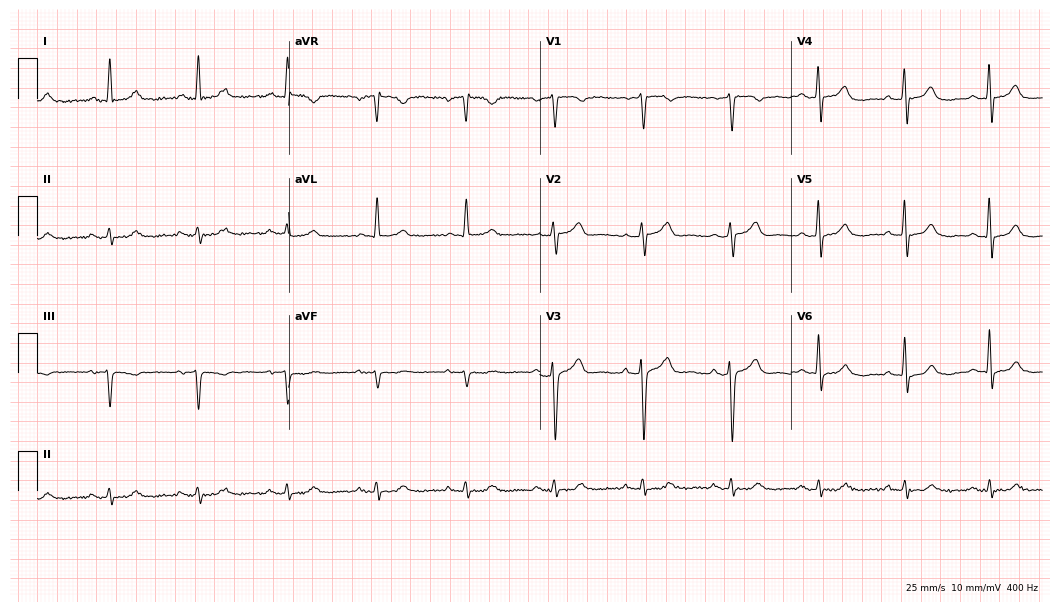
ECG — a man, 72 years old. Screened for six findings — first-degree AV block, right bundle branch block, left bundle branch block, sinus bradycardia, atrial fibrillation, sinus tachycardia — none is recorded. Only these six findings were labelled.